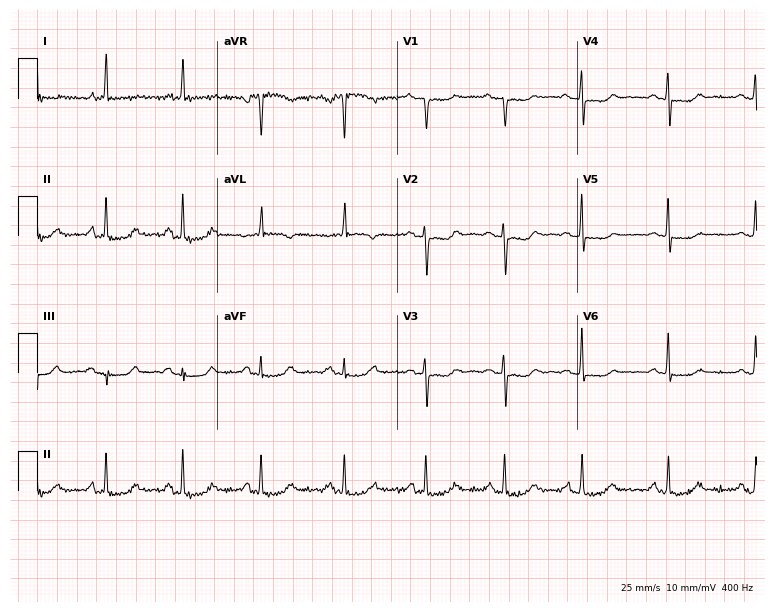
Standard 12-lead ECG recorded from a woman, 60 years old (7.3-second recording at 400 Hz). None of these six findings is recorded: first-degree AV block, right bundle branch block, left bundle branch block, sinus bradycardia, atrial fibrillation, sinus tachycardia.